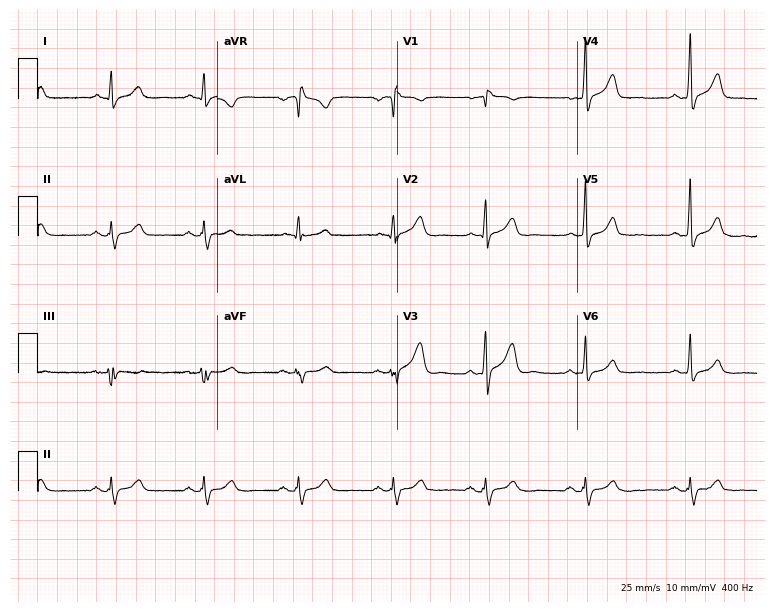
12-lead ECG from a male, 42 years old. No first-degree AV block, right bundle branch block, left bundle branch block, sinus bradycardia, atrial fibrillation or sinus tachycardia recorded for this tracing.